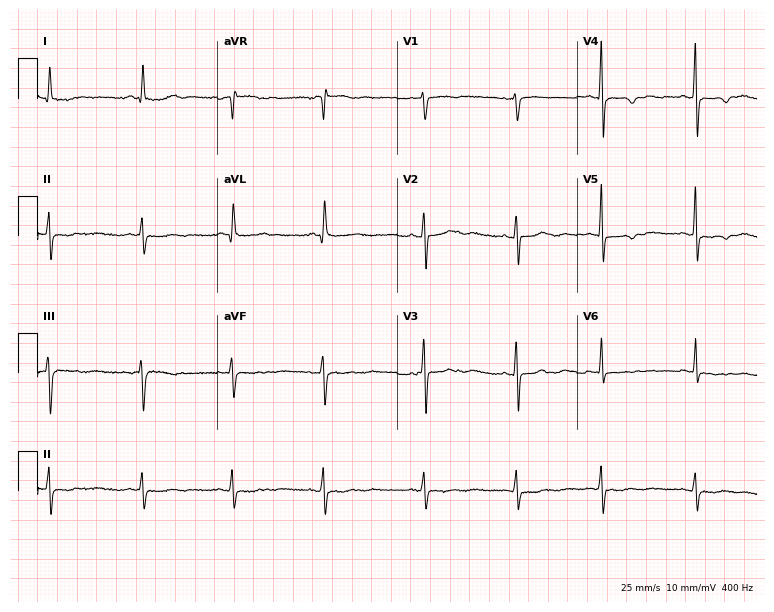
Resting 12-lead electrocardiogram (7.3-second recording at 400 Hz). Patient: an 84-year-old female. None of these six findings is recorded: first-degree AV block, right bundle branch block (RBBB), left bundle branch block (LBBB), sinus bradycardia, atrial fibrillation (AF), sinus tachycardia.